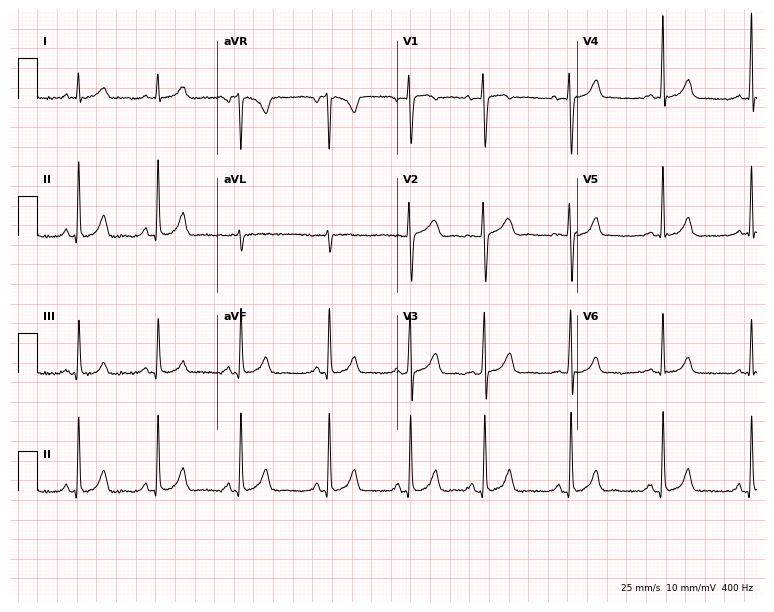
12-lead ECG from a female, 18 years old (7.3-second recording at 400 Hz). No first-degree AV block, right bundle branch block, left bundle branch block, sinus bradycardia, atrial fibrillation or sinus tachycardia recorded for this tracing. Other findings, if any, are not listed.